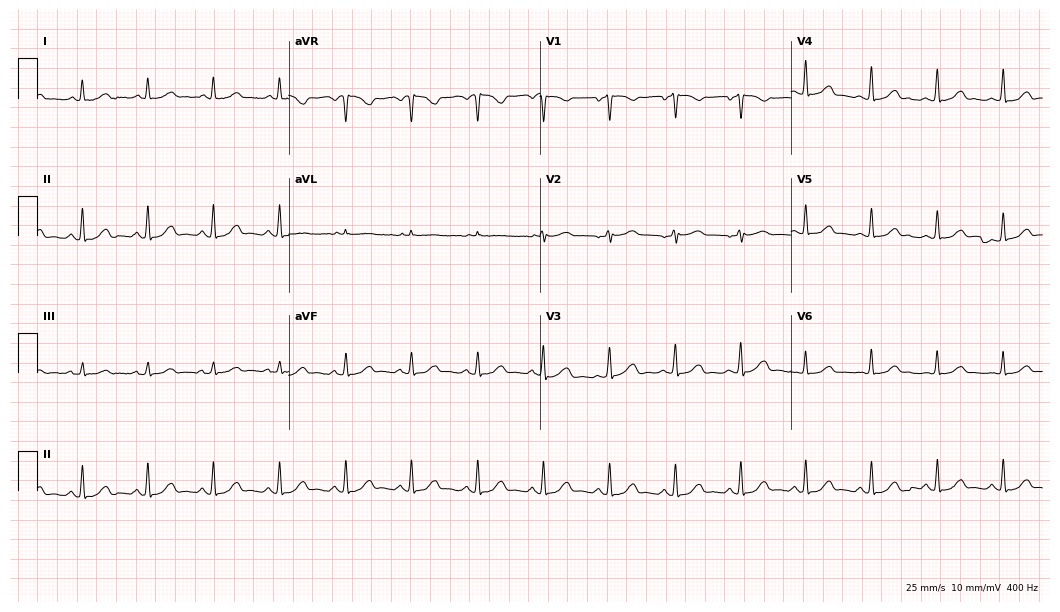
12-lead ECG from a 53-year-old woman. Recorded interpretation: within normal limits.